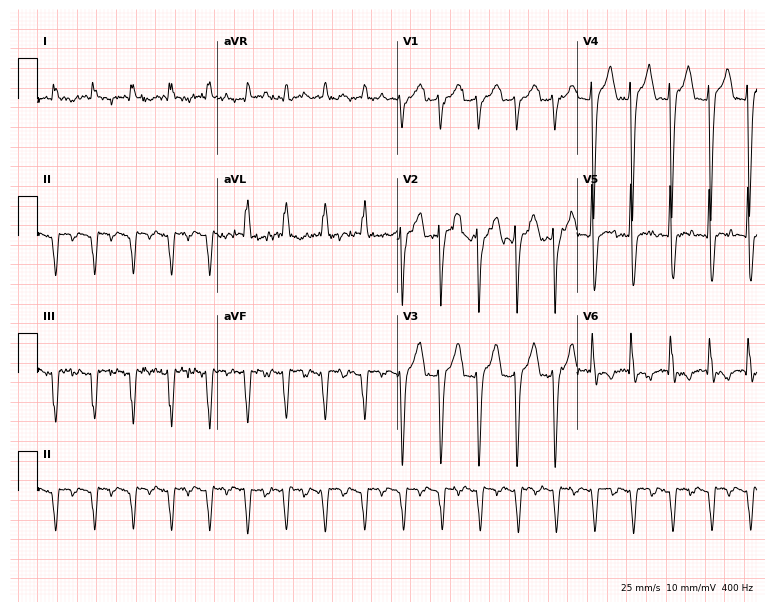
ECG — a male patient, 72 years old. Screened for six findings — first-degree AV block, right bundle branch block (RBBB), left bundle branch block (LBBB), sinus bradycardia, atrial fibrillation (AF), sinus tachycardia — none is recorded. Findings outside these six are not listed.